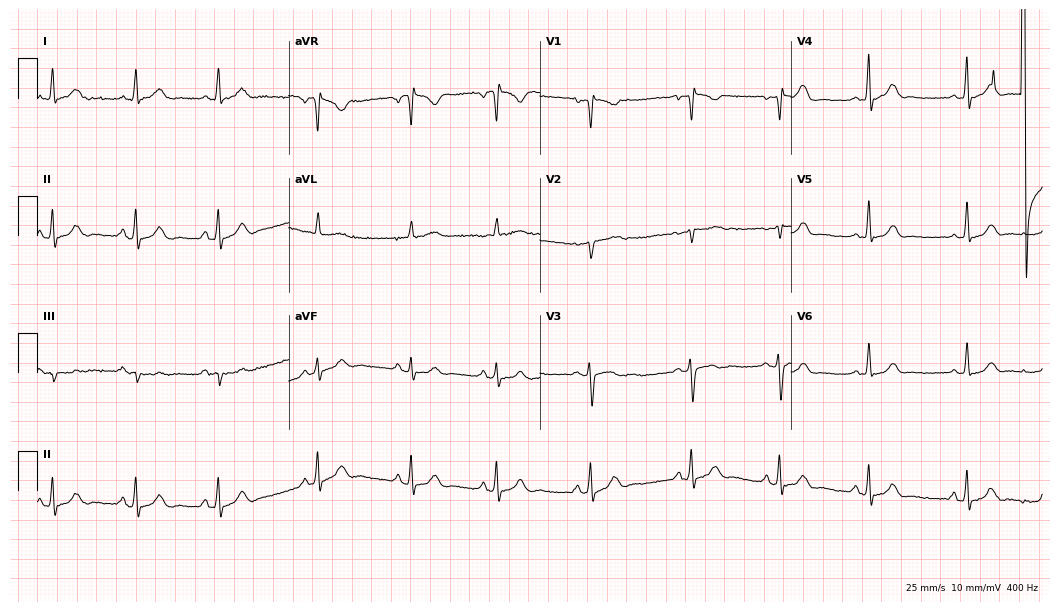
Standard 12-lead ECG recorded from a female patient, 17 years old. Read as a normal ECG.